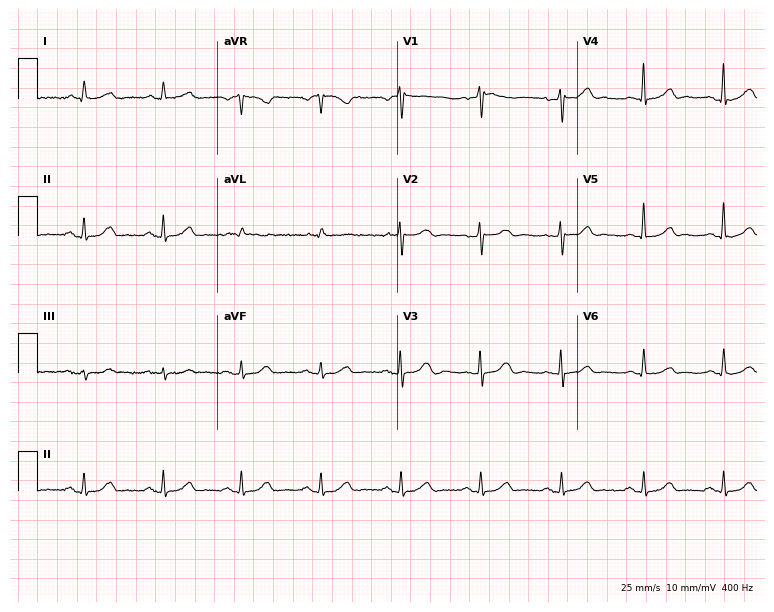
12-lead ECG from a female patient, 78 years old. Labelled as a normal ECG.